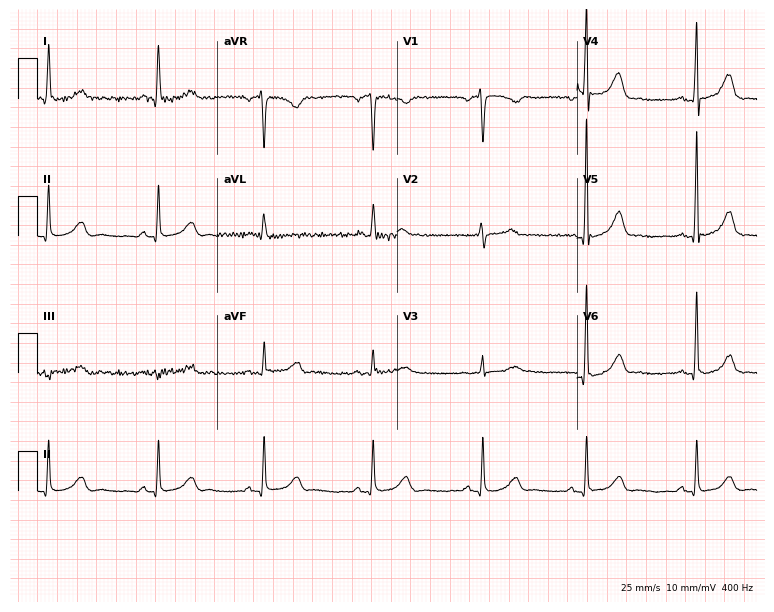
Electrocardiogram (7.3-second recording at 400 Hz), a 65-year-old female. Overall reading on record: normal ECG.